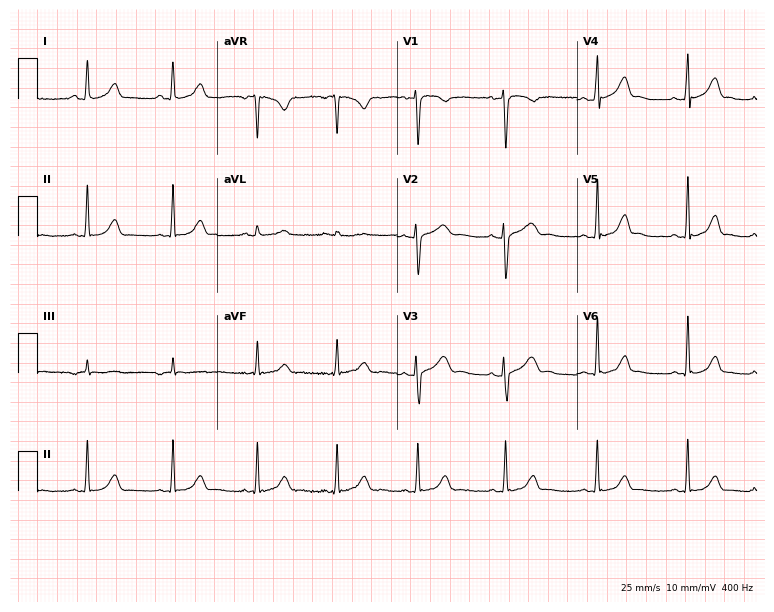
12-lead ECG from a woman, 26 years old (7.3-second recording at 400 Hz). Recorded interpretation: within normal limits.